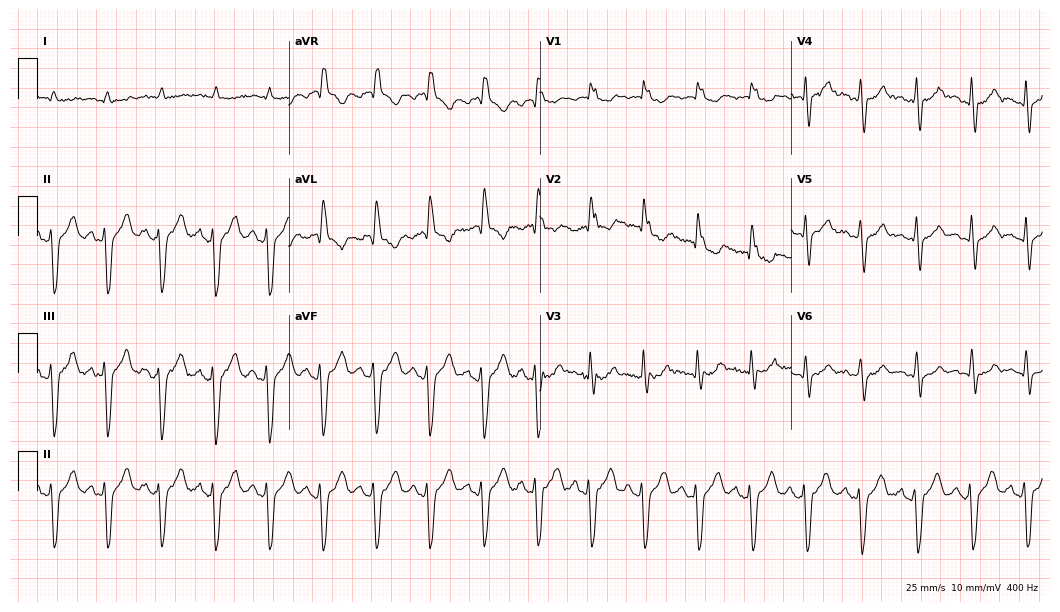
12-lead ECG from a 77-year-old male. Findings include right bundle branch block, sinus tachycardia (a sinus rate of 100 beats per minute or more).